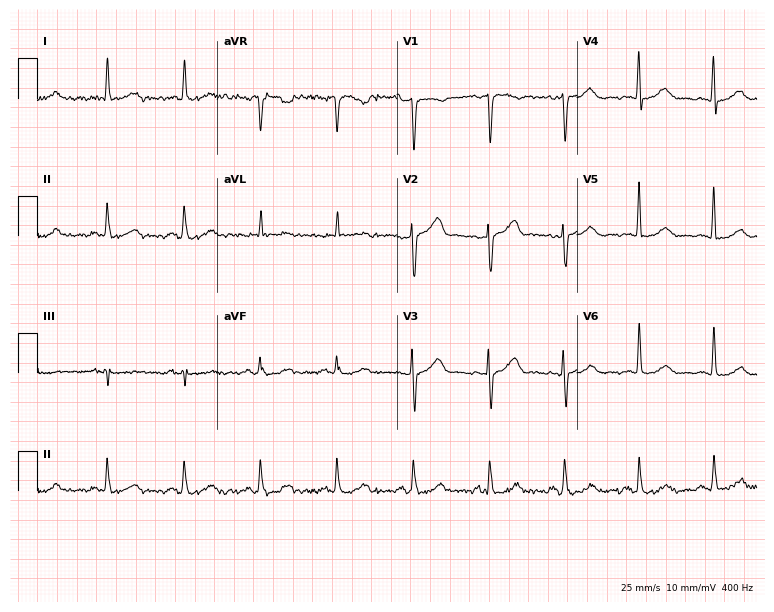
Electrocardiogram (7.3-second recording at 400 Hz), a 59-year-old female patient. Of the six screened findings (first-degree AV block, right bundle branch block, left bundle branch block, sinus bradycardia, atrial fibrillation, sinus tachycardia), none is recorded.